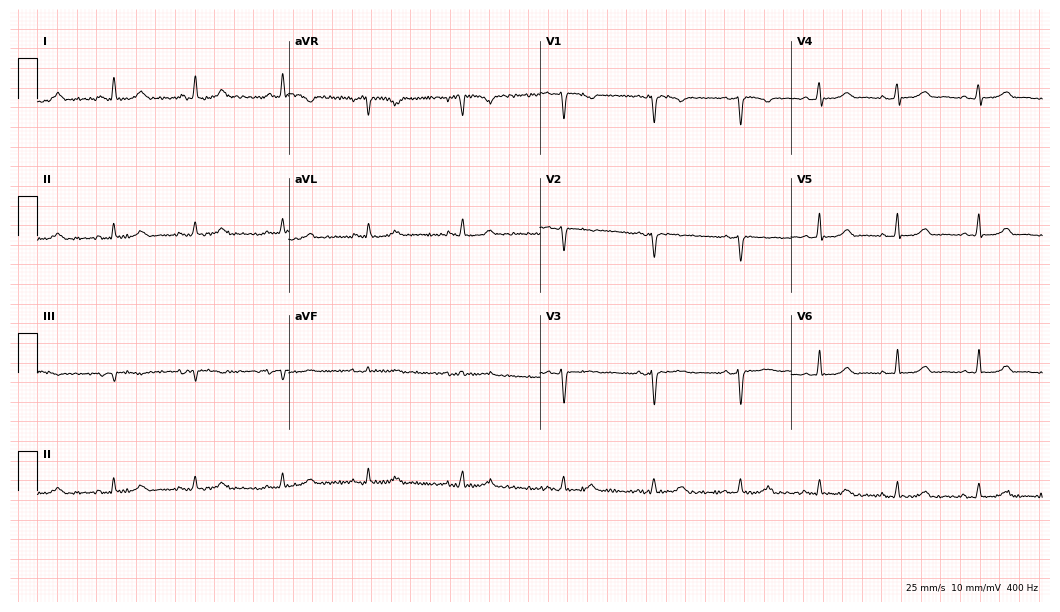
ECG — a female patient, 38 years old. Screened for six findings — first-degree AV block, right bundle branch block, left bundle branch block, sinus bradycardia, atrial fibrillation, sinus tachycardia — none is recorded. Only these six findings were labelled.